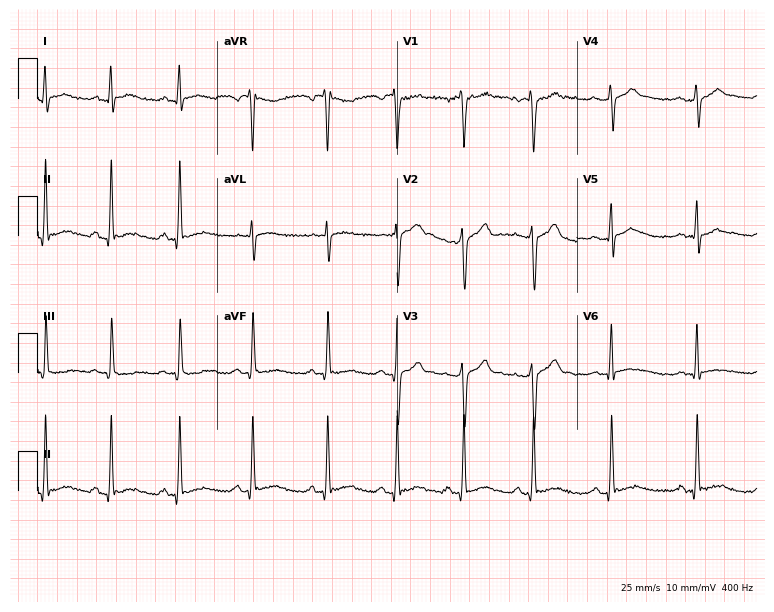
12-lead ECG from a 27-year-old male (7.3-second recording at 400 Hz). No first-degree AV block, right bundle branch block (RBBB), left bundle branch block (LBBB), sinus bradycardia, atrial fibrillation (AF) or sinus tachycardia recorded for this tracing.